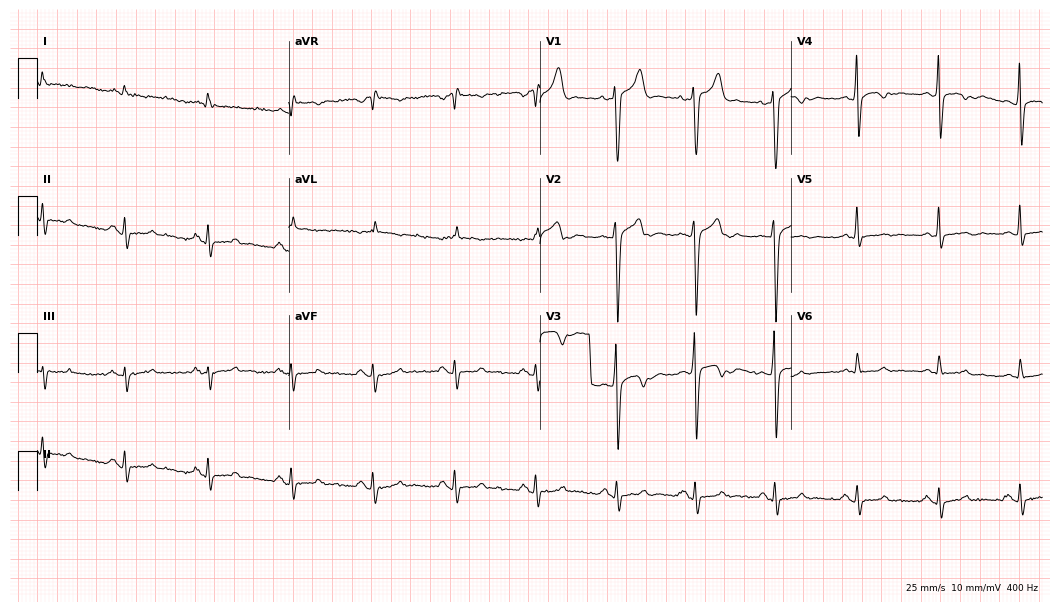
ECG — a 37-year-old man. Screened for six findings — first-degree AV block, right bundle branch block (RBBB), left bundle branch block (LBBB), sinus bradycardia, atrial fibrillation (AF), sinus tachycardia — none is recorded. Other findings, if any, are not listed.